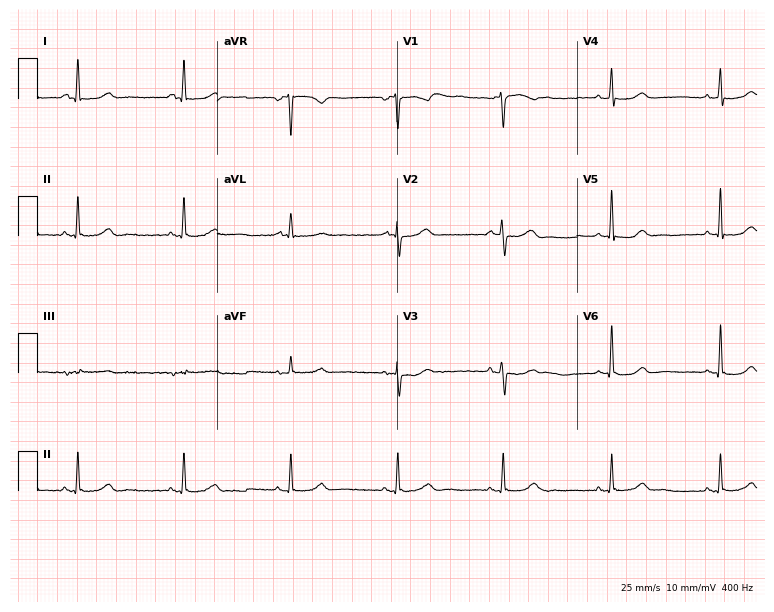
ECG (7.3-second recording at 400 Hz) — a 63-year-old woman. Labelled as a normal ECG.